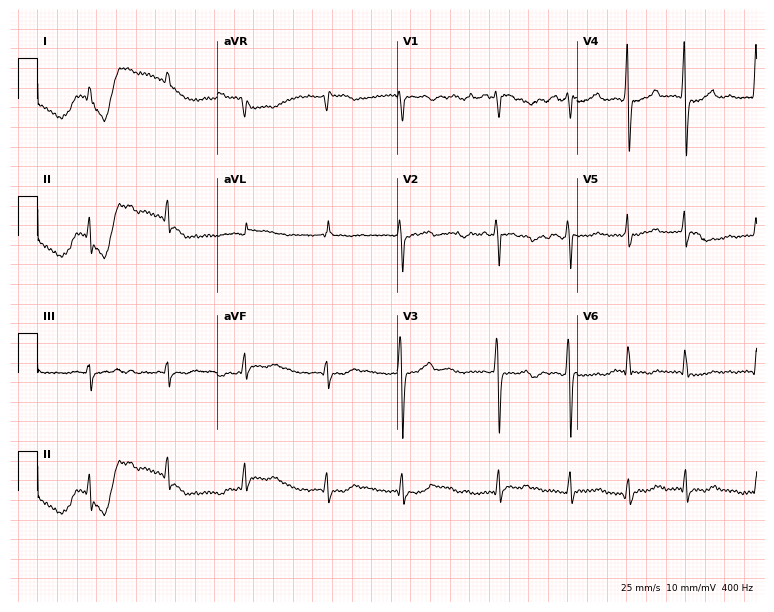
ECG — a man, 76 years old. Findings include atrial fibrillation (AF).